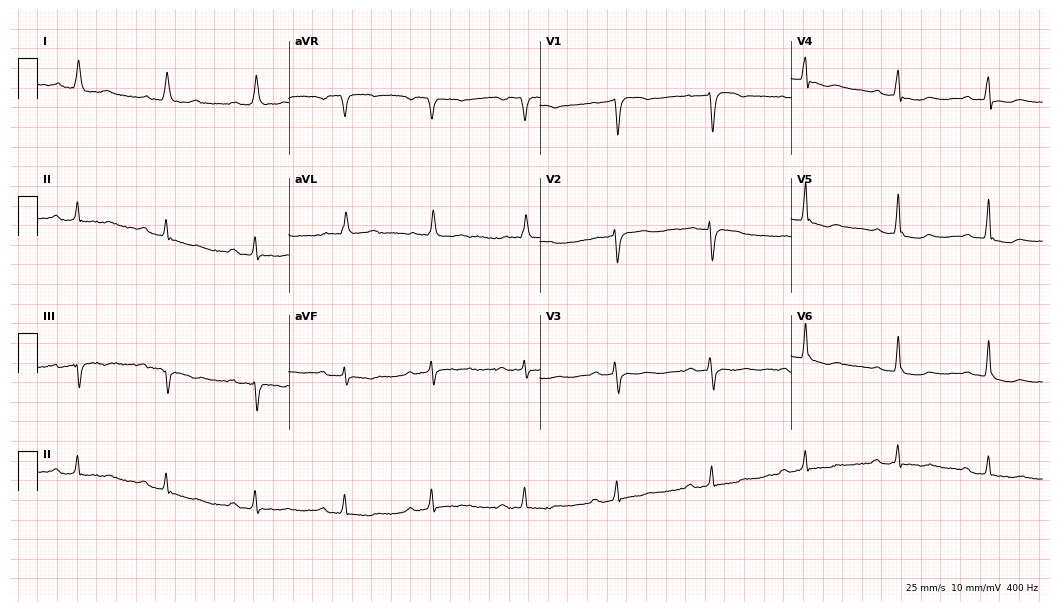
12-lead ECG from a 74-year-old female. No first-degree AV block, right bundle branch block (RBBB), left bundle branch block (LBBB), sinus bradycardia, atrial fibrillation (AF) or sinus tachycardia recorded for this tracing.